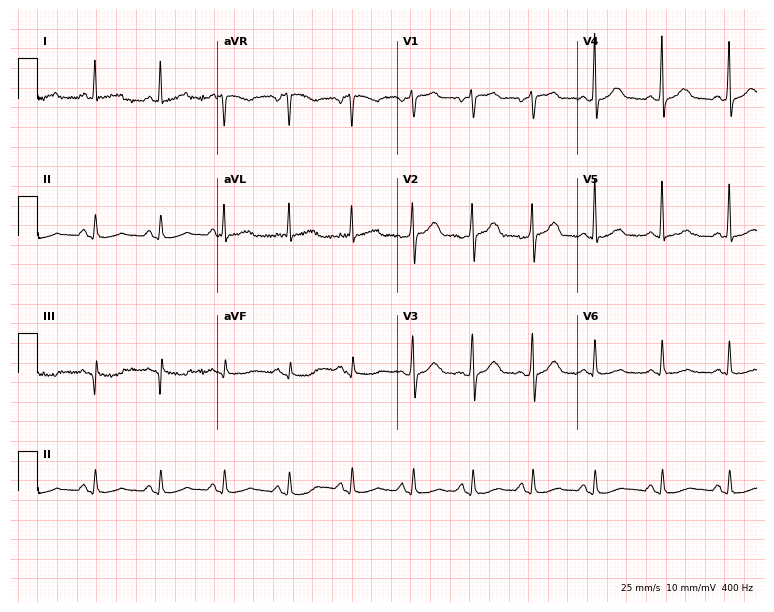
Resting 12-lead electrocardiogram (7.3-second recording at 400 Hz). Patient: a 64-year-old female. None of these six findings is recorded: first-degree AV block, right bundle branch block, left bundle branch block, sinus bradycardia, atrial fibrillation, sinus tachycardia. Findings outside these six are not listed.